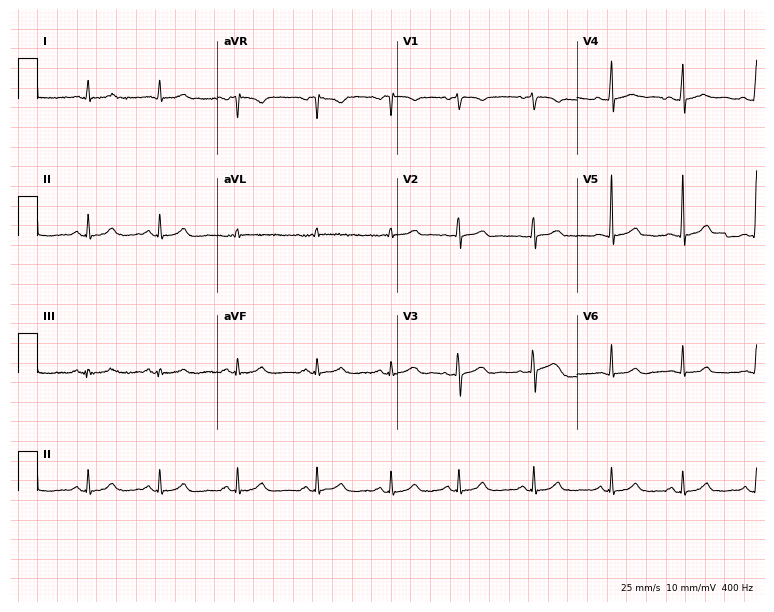
ECG (7.3-second recording at 400 Hz) — a 44-year-old female patient. Screened for six findings — first-degree AV block, right bundle branch block, left bundle branch block, sinus bradycardia, atrial fibrillation, sinus tachycardia — none is recorded. Findings outside these six are not listed.